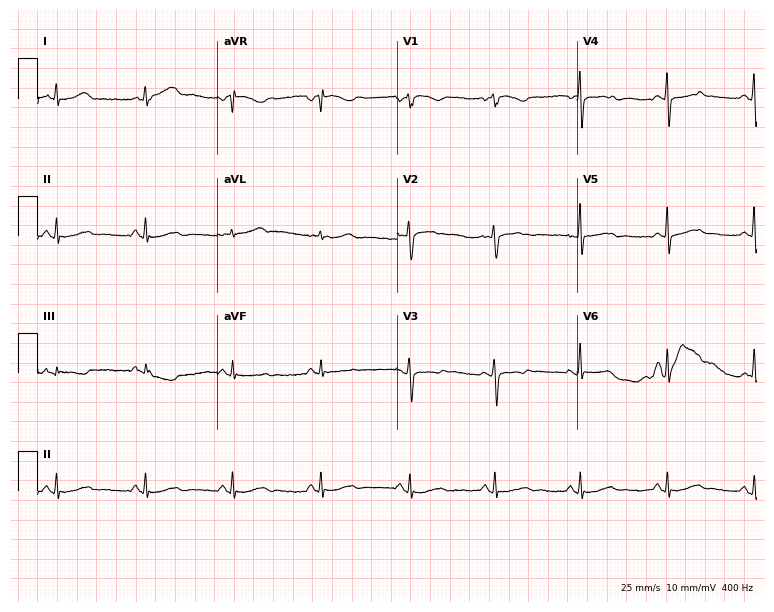
Electrocardiogram (7.3-second recording at 400 Hz), a female patient, 57 years old. Overall reading on record: normal ECG.